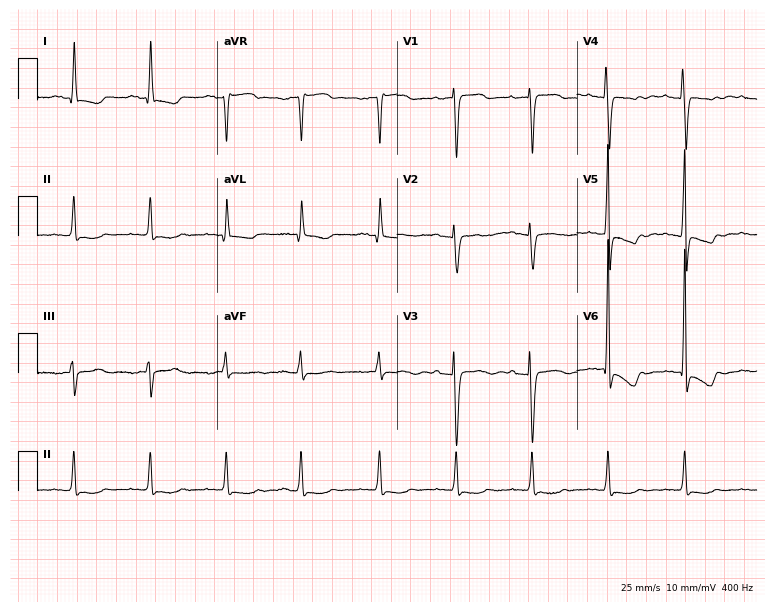
Electrocardiogram (7.3-second recording at 400 Hz), a woman, 68 years old. Of the six screened findings (first-degree AV block, right bundle branch block, left bundle branch block, sinus bradycardia, atrial fibrillation, sinus tachycardia), none is recorded.